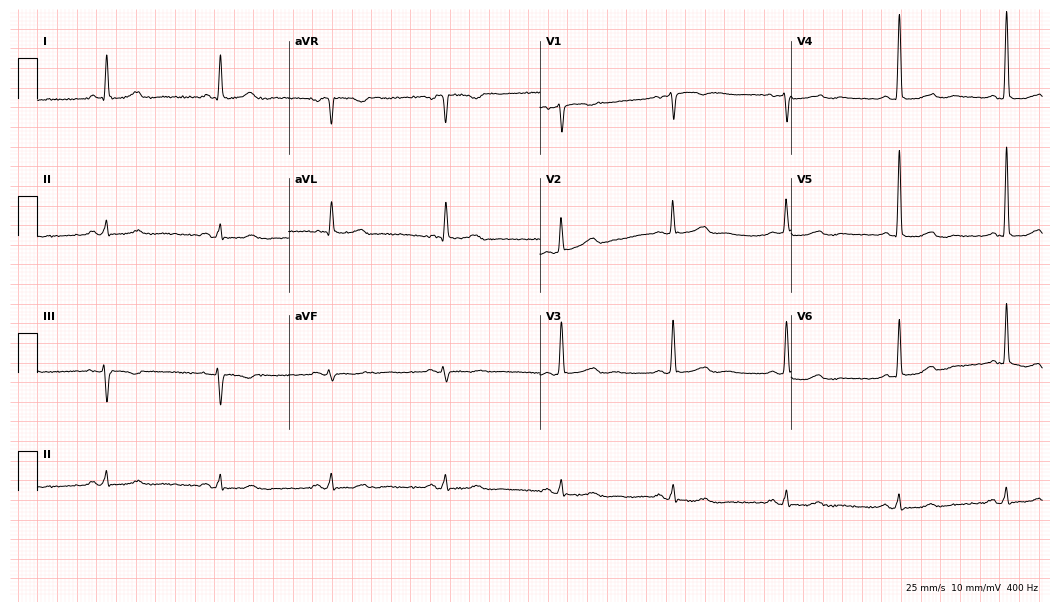
12-lead ECG from a female patient, 74 years old. Recorded interpretation: within normal limits.